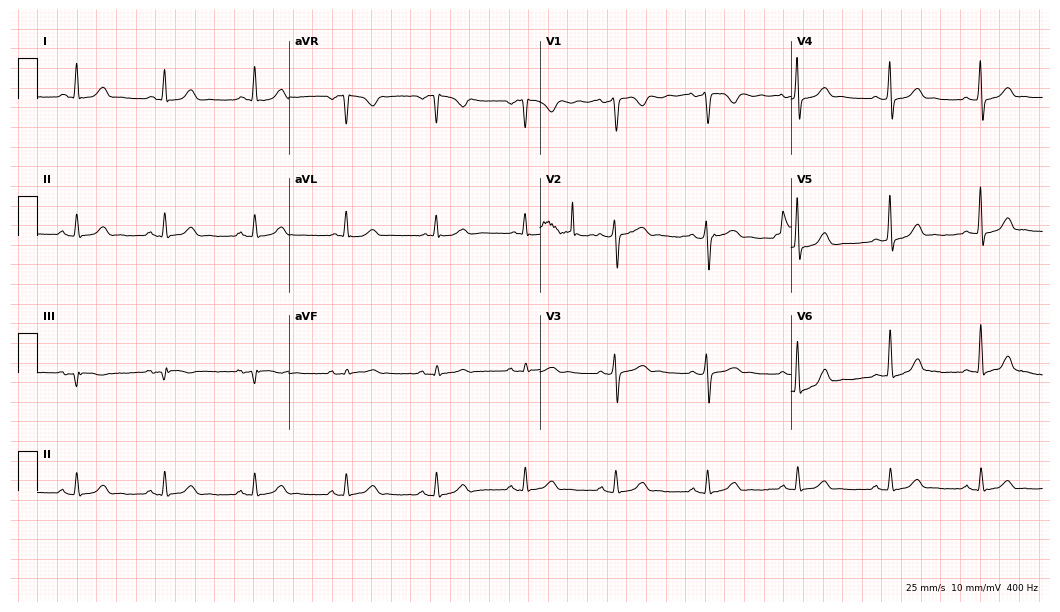
12-lead ECG from a 50-year-old female patient. Screened for six findings — first-degree AV block, right bundle branch block, left bundle branch block, sinus bradycardia, atrial fibrillation, sinus tachycardia — none is recorded. Other findings, if any, are not listed.